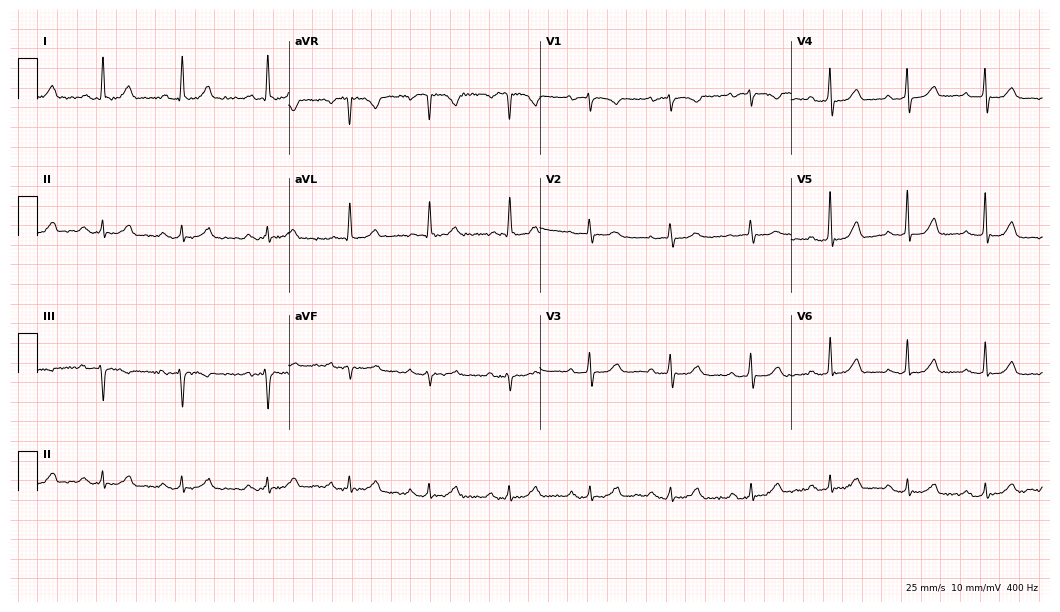
12-lead ECG (10.2-second recording at 400 Hz) from a female, 69 years old. Labelled as a normal ECG.